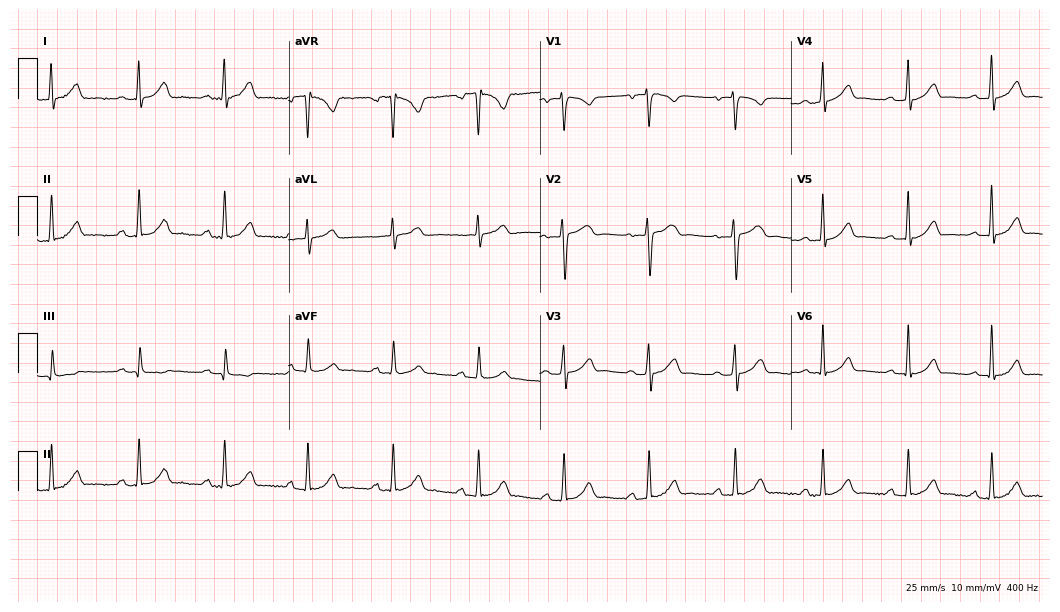
ECG (10.2-second recording at 400 Hz) — a woman, 35 years old. Labelled as a normal ECG.